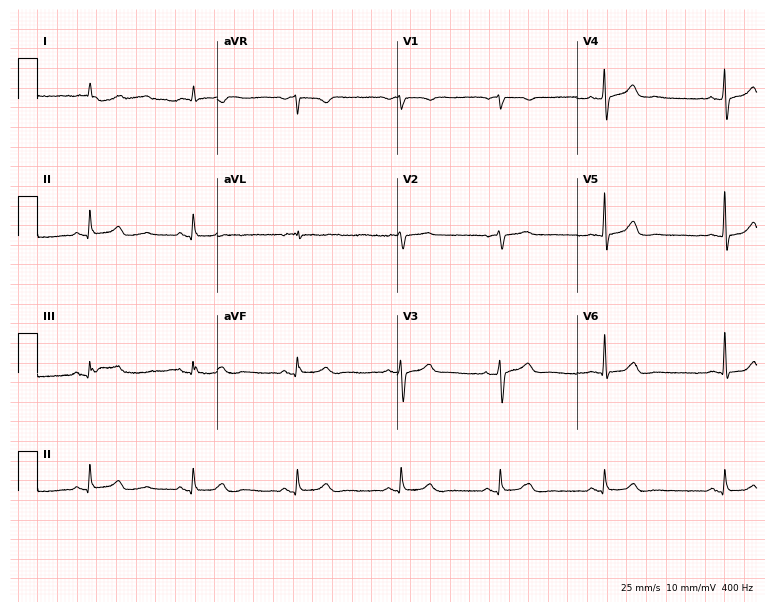
12-lead ECG from an 80-year-old male patient. Labelled as a normal ECG.